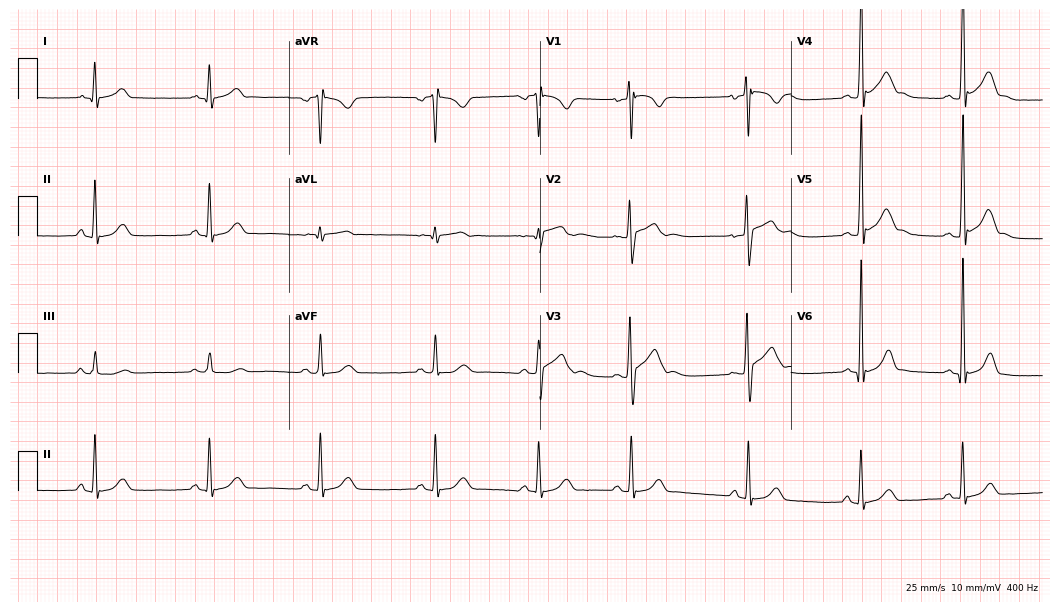
Standard 12-lead ECG recorded from a male, 23 years old (10.2-second recording at 400 Hz). None of these six findings is recorded: first-degree AV block, right bundle branch block, left bundle branch block, sinus bradycardia, atrial fibrillation, sinus tachycardia. Findings outside these six are not listed.